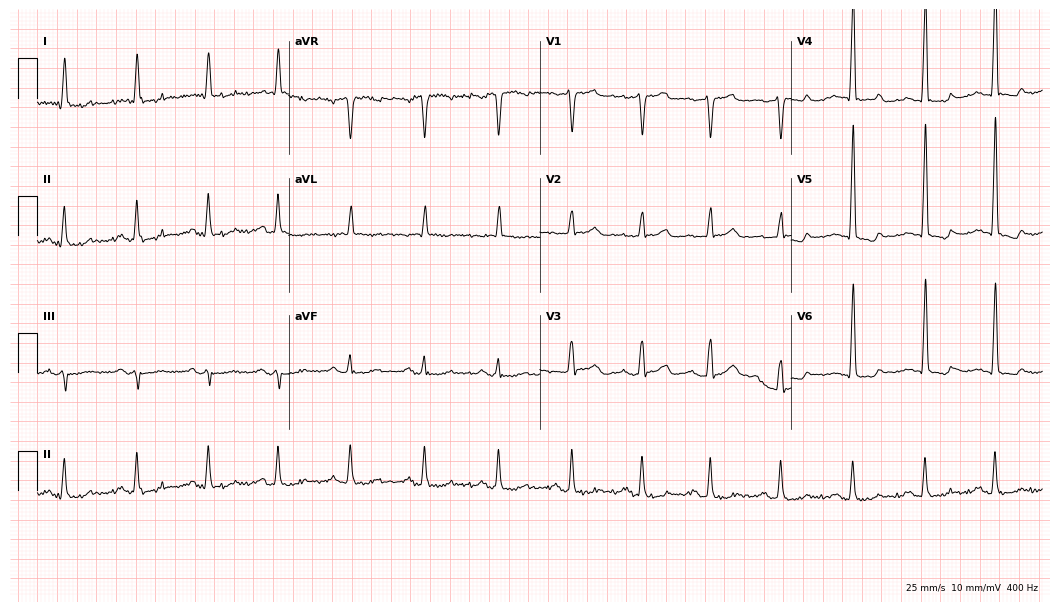
12-lead ECG from an 83-year-old male patient (10.2-second recording at 400 Hz). No first-degree AV block, right bundle branch block, left bundle branch block, sinus bradycardia, atrial fibrillation or sinus tachycardia recorded for this tracing. Findings outside these six are not listed.